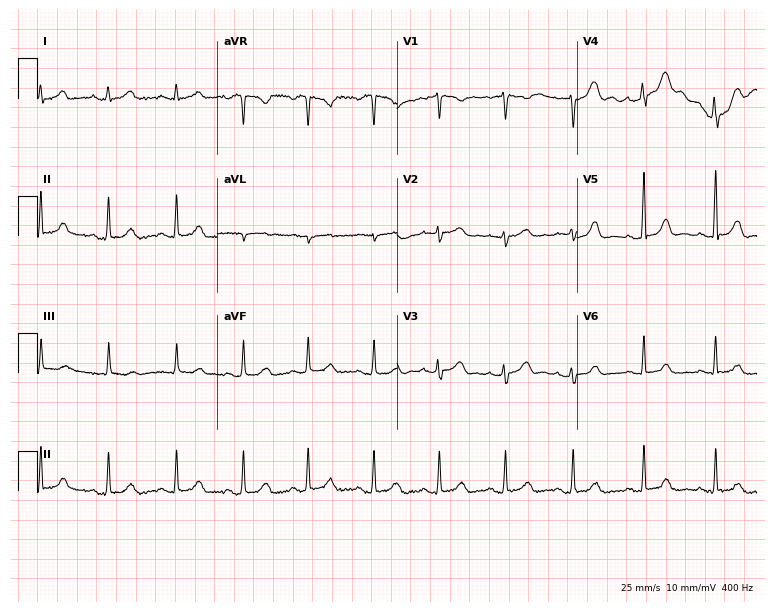
Resting 12-lead electrocardiogram. Patient: a female, 46 years old. None of these six findings is recorded: first-degree AV block, right bundle branch block, left bundle branch block, sinus bradycardia, atrial fibrillation, sinus tachycardia.